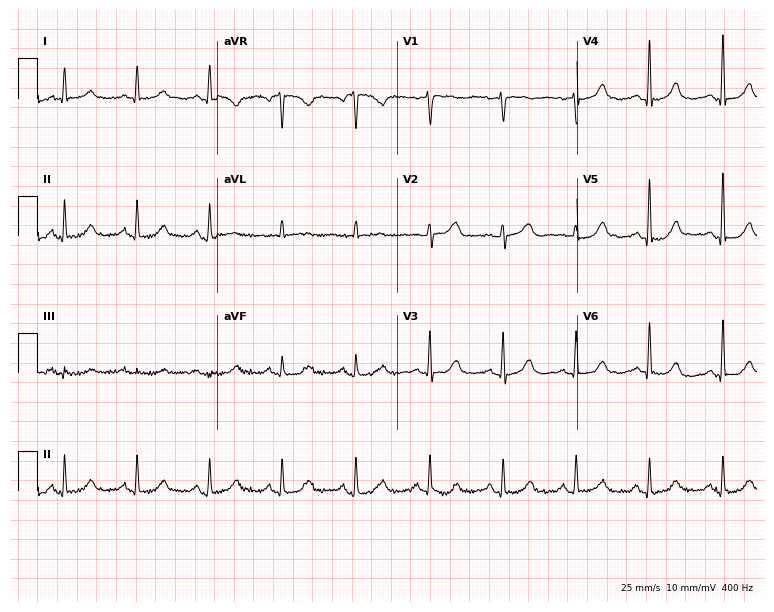
12-lead ECG from a female, 82 years old. Recorded interpretation: within normal limits.